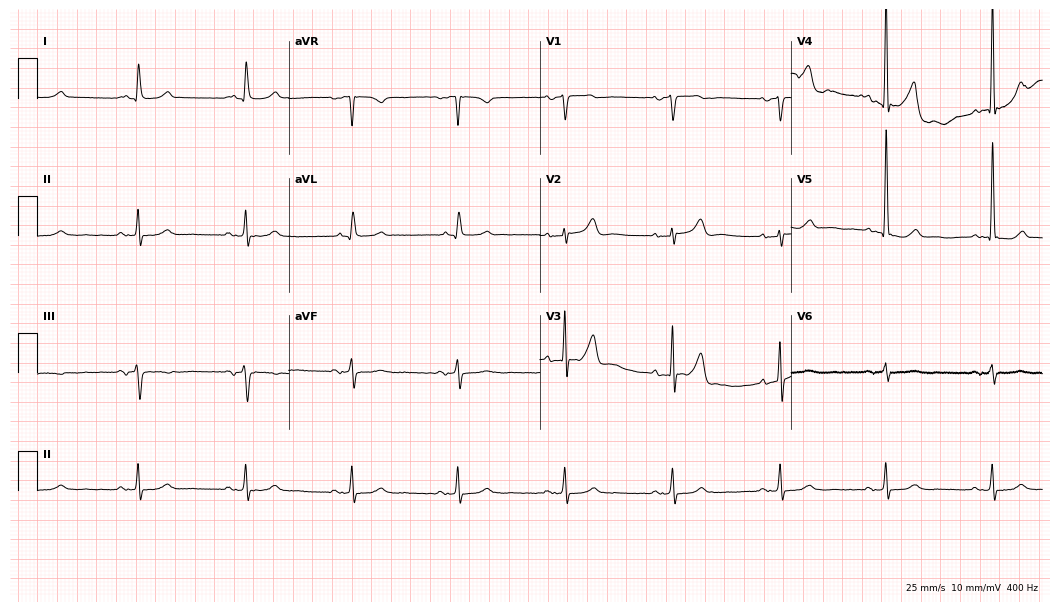
ECG (10.2-second recording at 400 Hz) — a 74-year-old man. Screened for six findings — first-degree AV block, right bundle branch block (RBBB), left bundle branch block (LBBB), sinus bradycardia, atrial fibrillation (AF), sinus tachycardia — none is recorded.